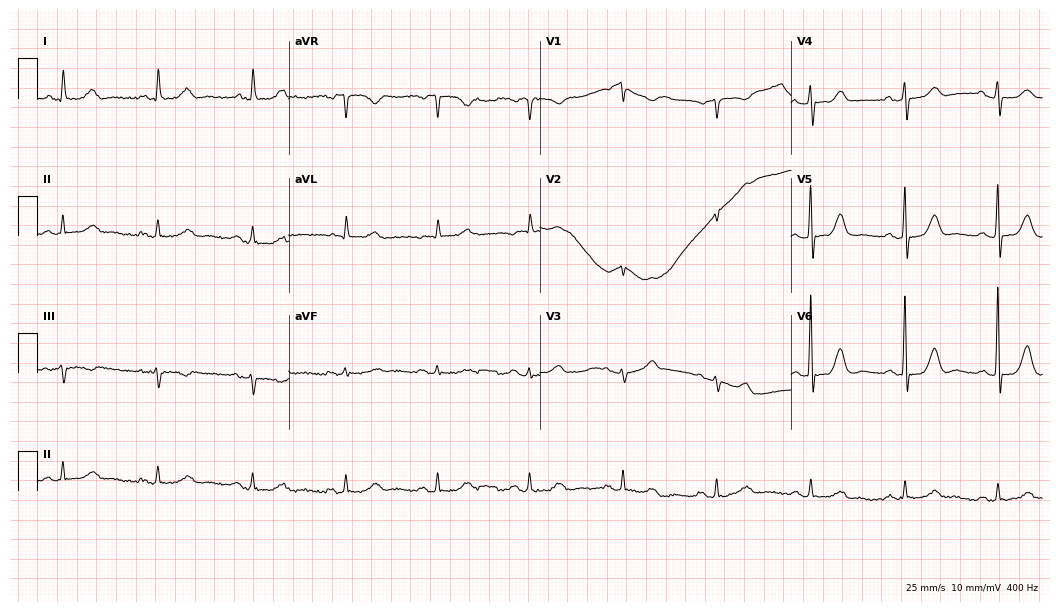
Standard 12-lead ECG recorded from a 78-year-old female. Read as a normal ECG.